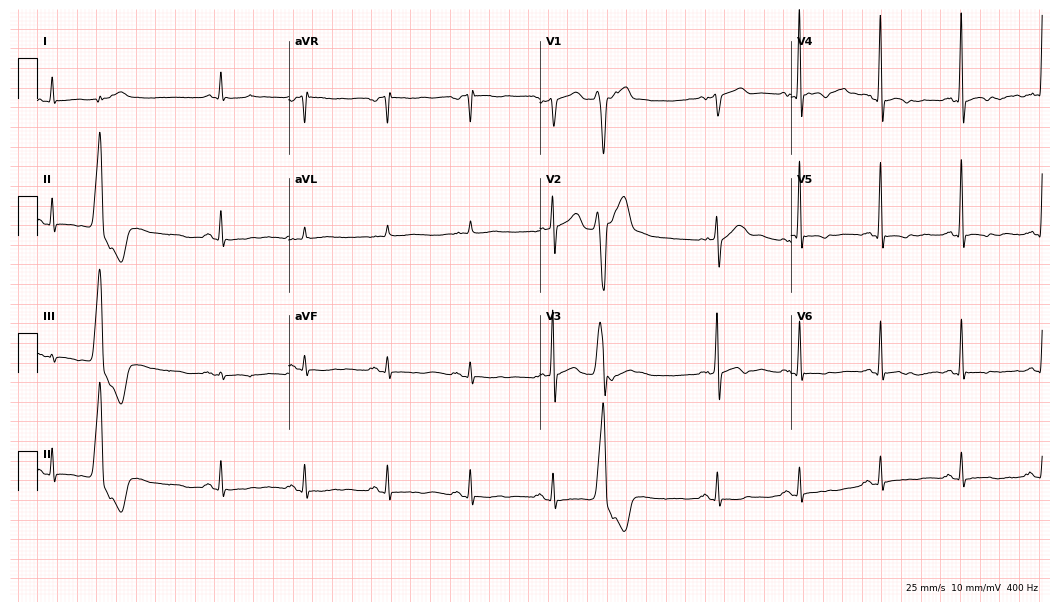
12-lead ECG (10.2-second recording at 400 Hz) from a male patient, 61 years old. Screened for six findings — first-degree AV block, right bundle branch block, left bundle branch block, sinus bradycardia, atrial fibrillation, sinus tachycardia — none is recorded.